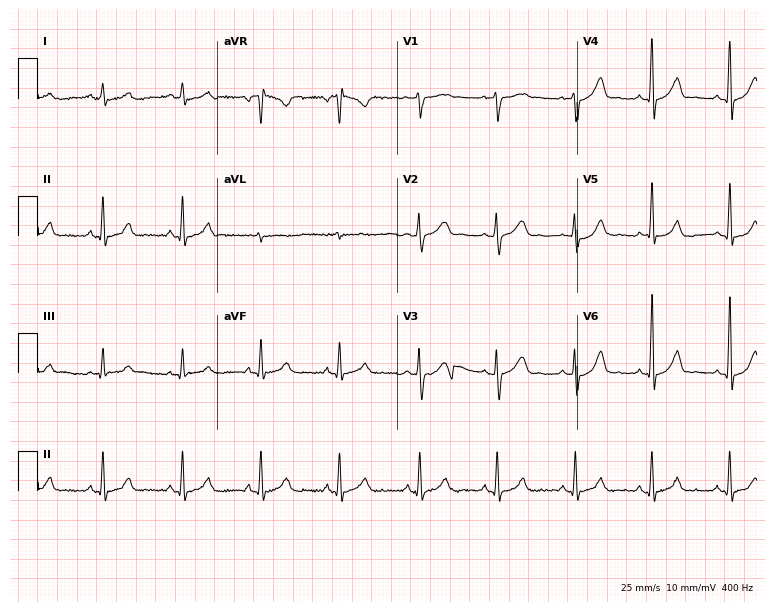
Electrocardiogram (7.3-second recording at 400 Hz), a male patient, 31 years old. Overall reading on record: normal ECG.